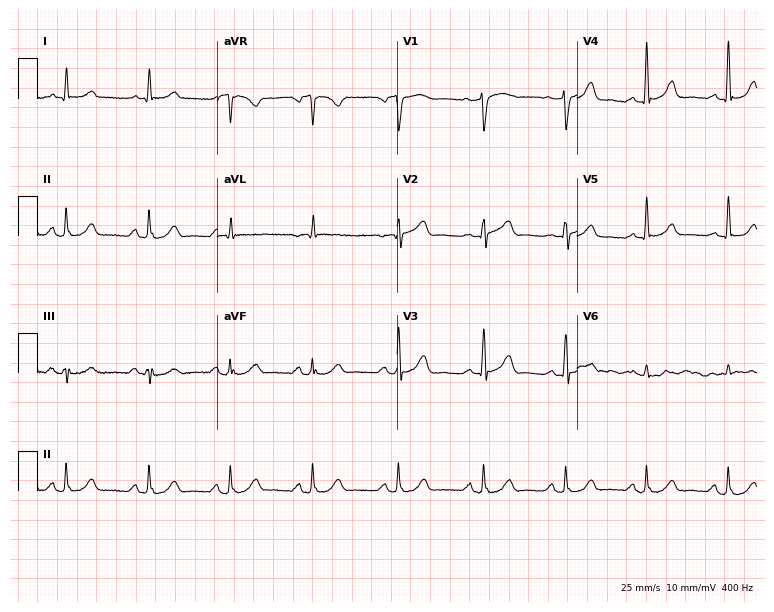
Resting 12-lead electrocardiogram (7.3-second recording at 400 Hz). Patient: a 70-year-old female. Read as a normal ECG.